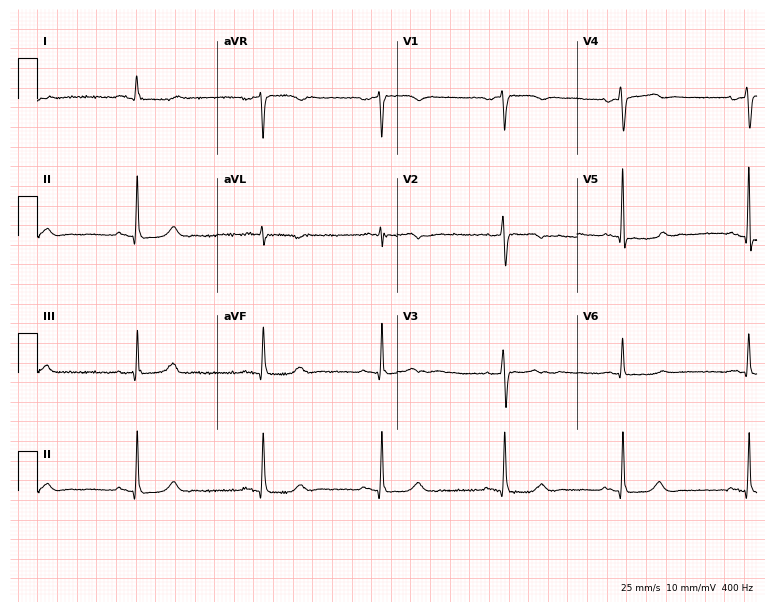
12-lead ECG from a 76-year-old female patient (7.3-second recording at 400 Hz). No first-degree AV block, right bundle branch block (RBBB), left bundle branch block (LBBB), sinus bradycardia, atrial fibrillation (AF) or sinus tachycardia recorded for this tracing.